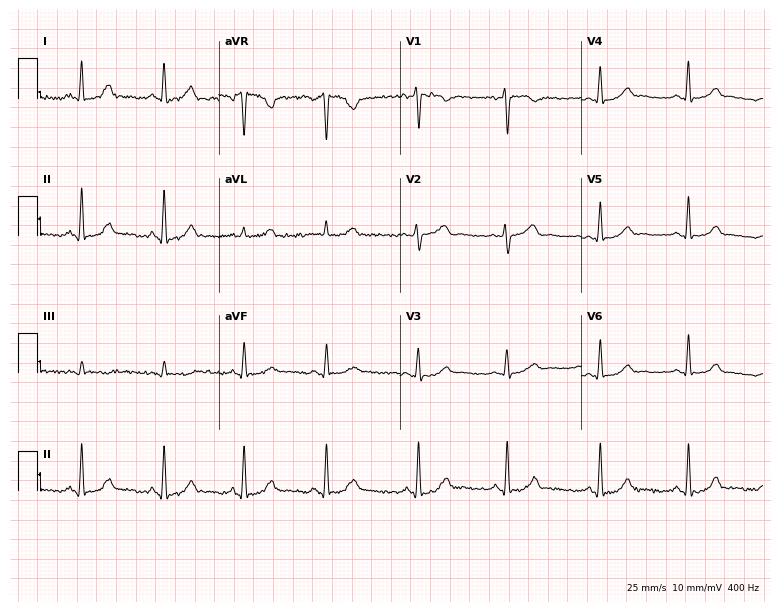
12-lead ECG from a 39-year-old woman. Labelled as a normal ECG.